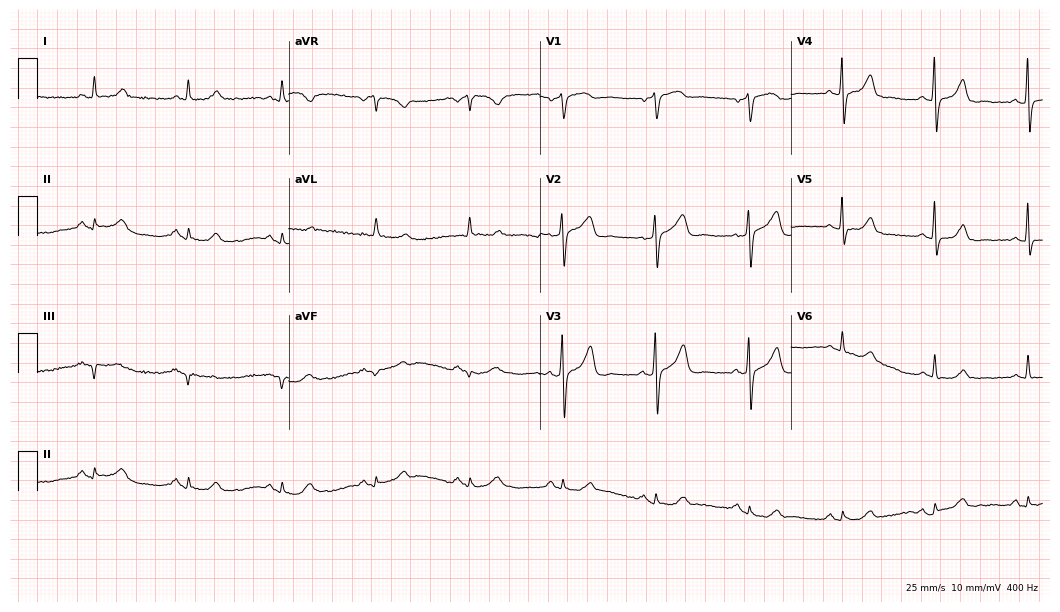
Electrocardiogram (10.2-second recording at 400 Hz), a 74-year-old female patient. Overall reading on record: normal ECG.